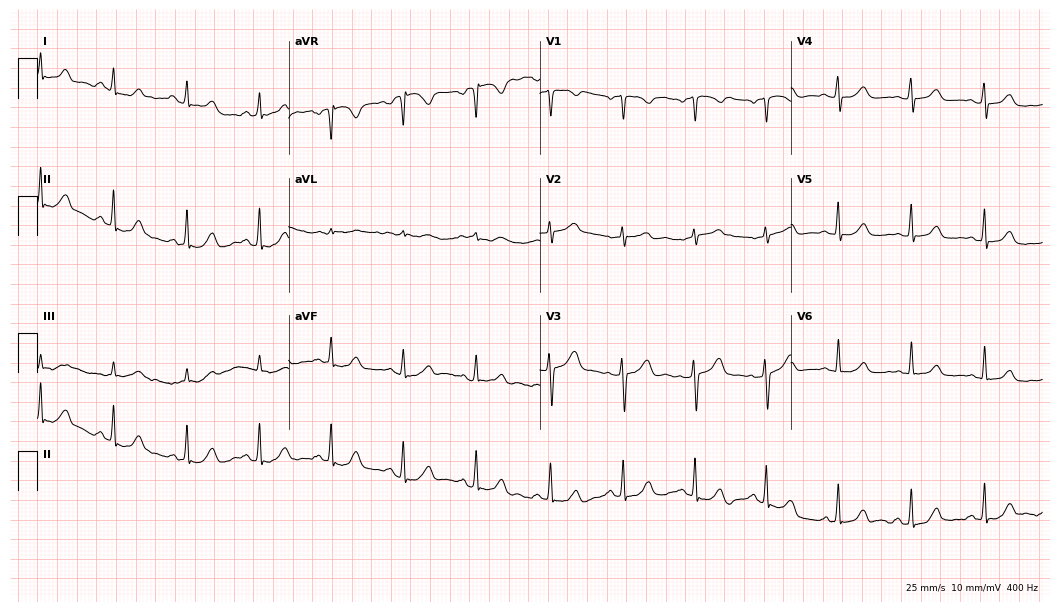
Standard 12-lead ECG recorded from a woman, 52 years old. Read as a normal ECG.